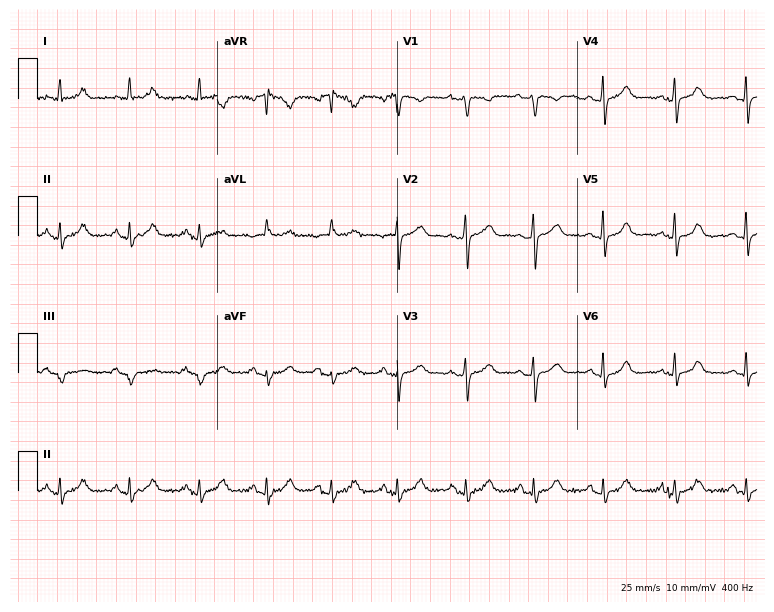
12-lead ECG from a female, 51 years old. Screened for six findings — first-degree AV block, right bundle branch block, left bundle branch block, sinus bradycardia, atrial fibrillation, sinus tachycardia — none is recorded.